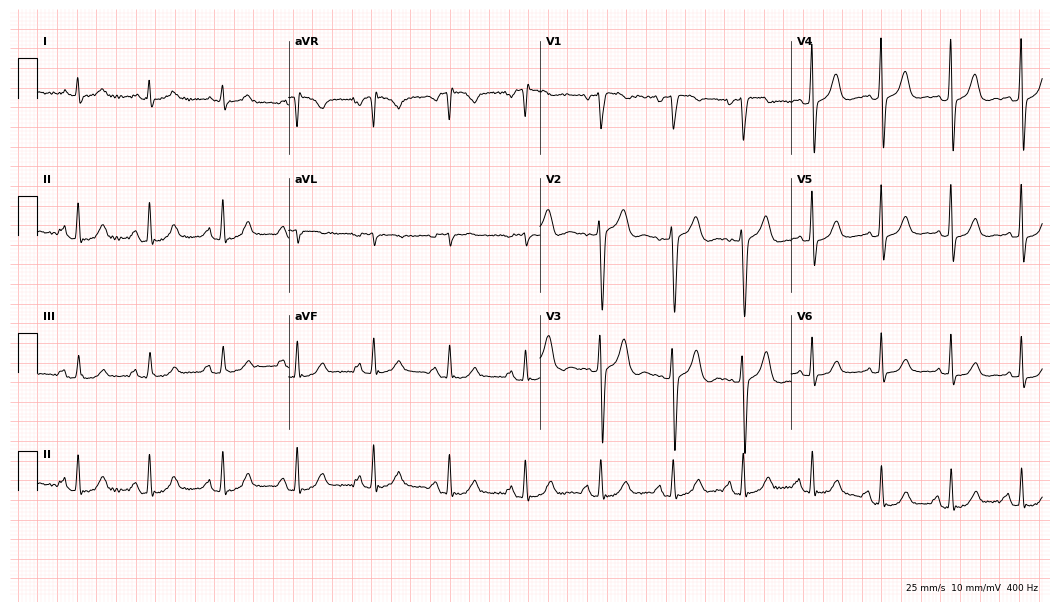
ECG (10.2-second recording at 400 Hz) — a man, 62 years old. Screened for six findings — first-degree AV block, right bundle branch block (RBBB), left bundle branch block (LBBB), sinus bradycardia, atrial fibrillation (AF), sinus tachycardia — none is recorded. Other findings, if any, are not listed.